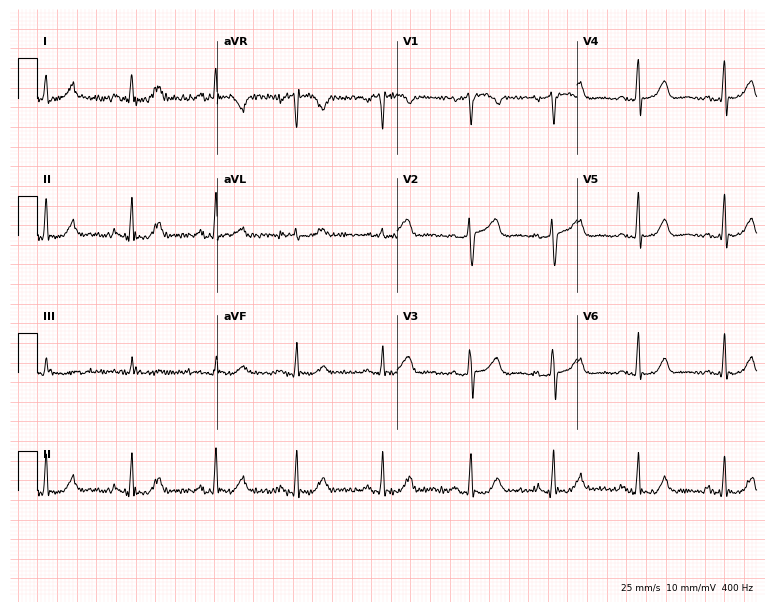
12-lead ECG from a 52-year-old woman. Labelled as a normal ECG.